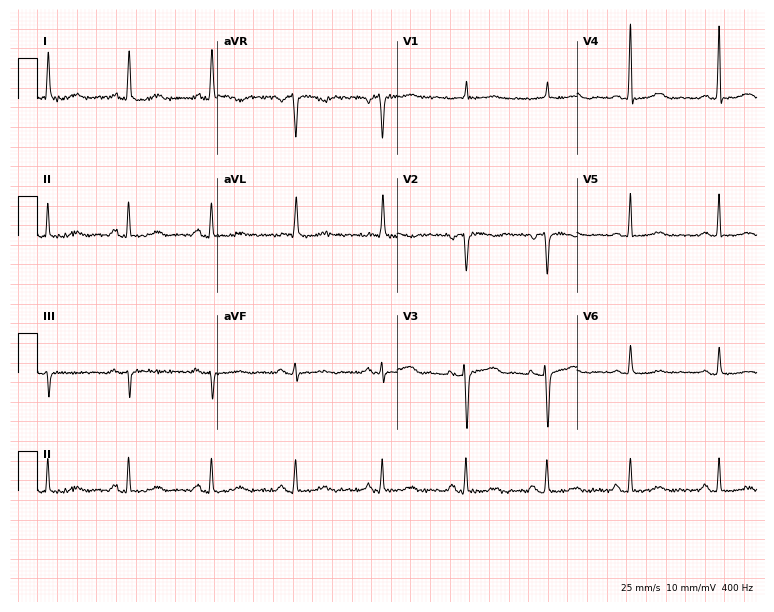
Resting 12-lead electrocardiogram. Patient: a female, 64 years old. None of these six findings is recorded: first-degree AV block, right bundle branch block (RBBB), left bundle branch block (LBBB), sinus bradycardia, atrial fibrillation (AF), sinus tachycardia. Only these six findings were labelled.